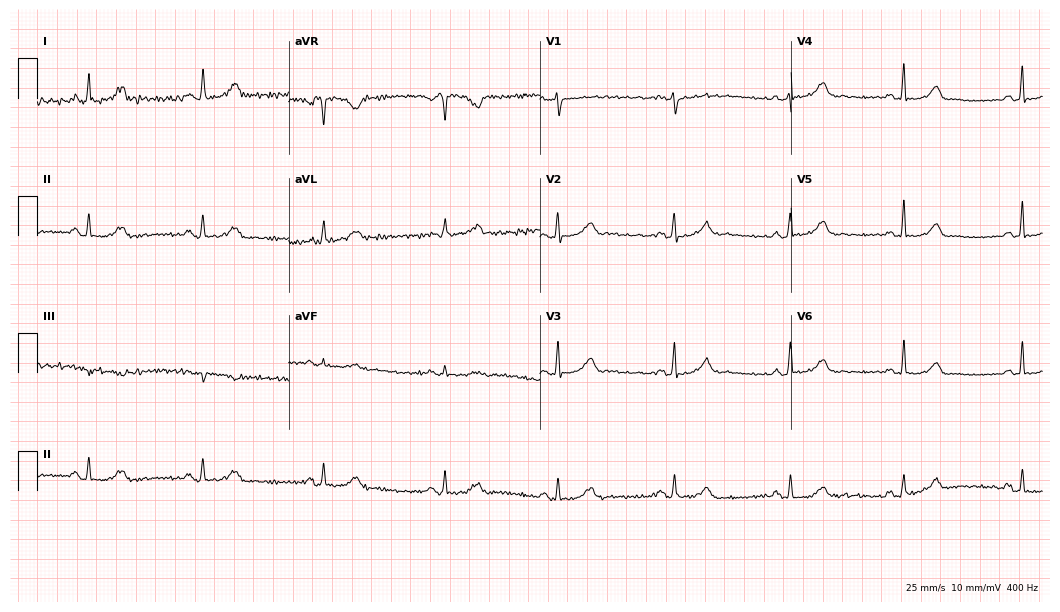
Standard 12-lead ECG recorded from a 39-year-old woman (10.2-second recording at 400 Hz). The tracing shows sinus bradycardia (a sinus rate of 50 beats per minute or less).